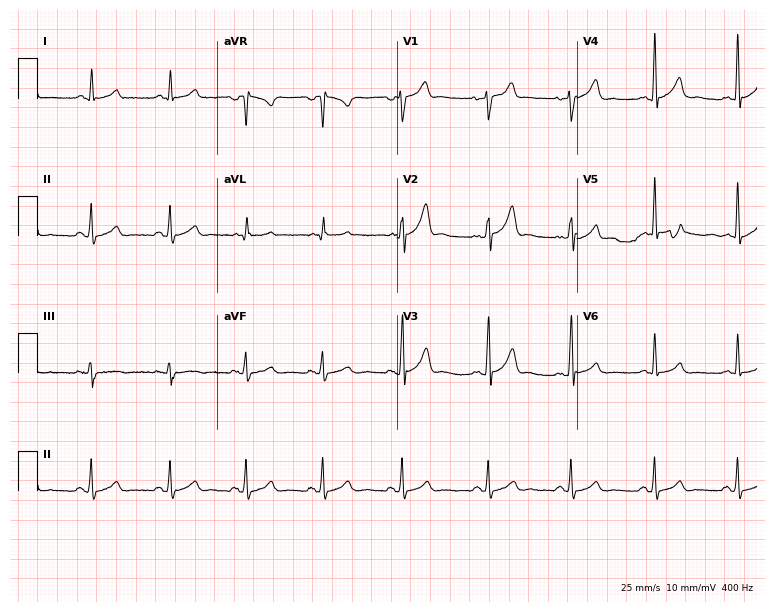
ECG — a 37-year-old male. Labelled as a normal ECG.